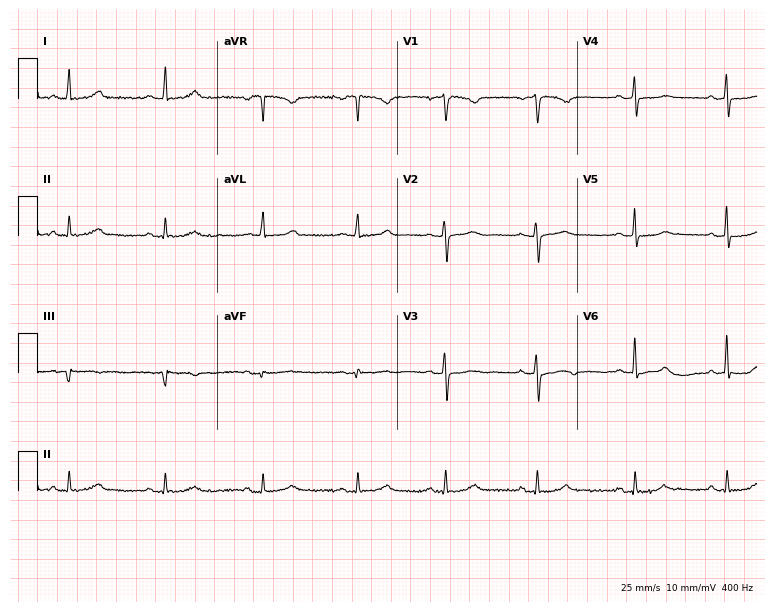
Electrocardiogram (7.3-second recording at 400 Hz), a woman, 40 years old. Overall reading on record: normal ECG.